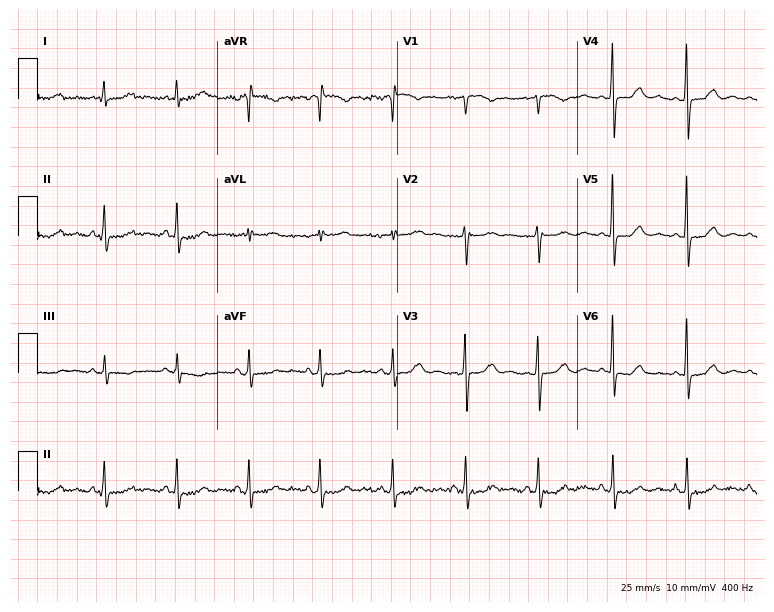
Resting 12-lead electrocardiogram (7.3-second recording at 400 Hz). Patient: a 67-year-old female. None of these six findings is recorded: first-degree AV block, right bundle branch block, left bundle branch block, sinus bradycardia, atrial fibrillation, sinus tachycardia. Other findings, if any, are not listed.